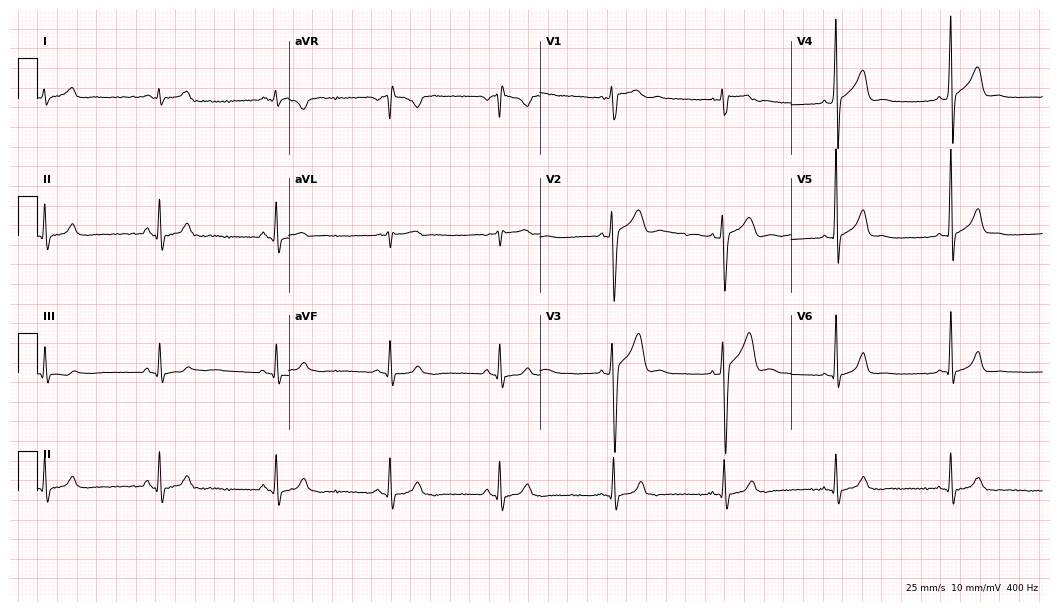
ECG (10.2-second recording at 400 Hz) — a male patient, 21 years old. Labelled as a normal ECG.